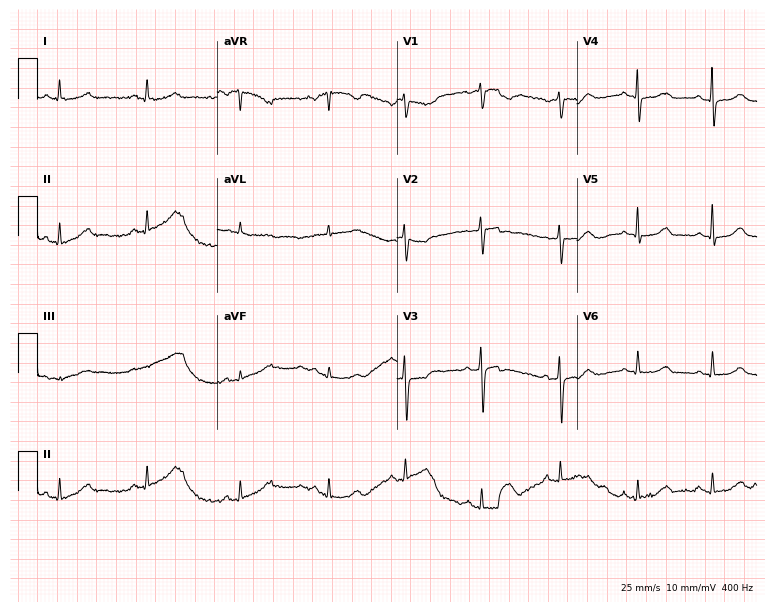
ECG (7.3-second recording at 400 Hz) — a 60-year-old female patient. Screened for six findings — first-degree AV block, right bundle branch block (RBBB), left bundle branch block (LBBB), sinus bradycardia, atrial fibrillation (AF), sinus tachycardia — none is recorded.